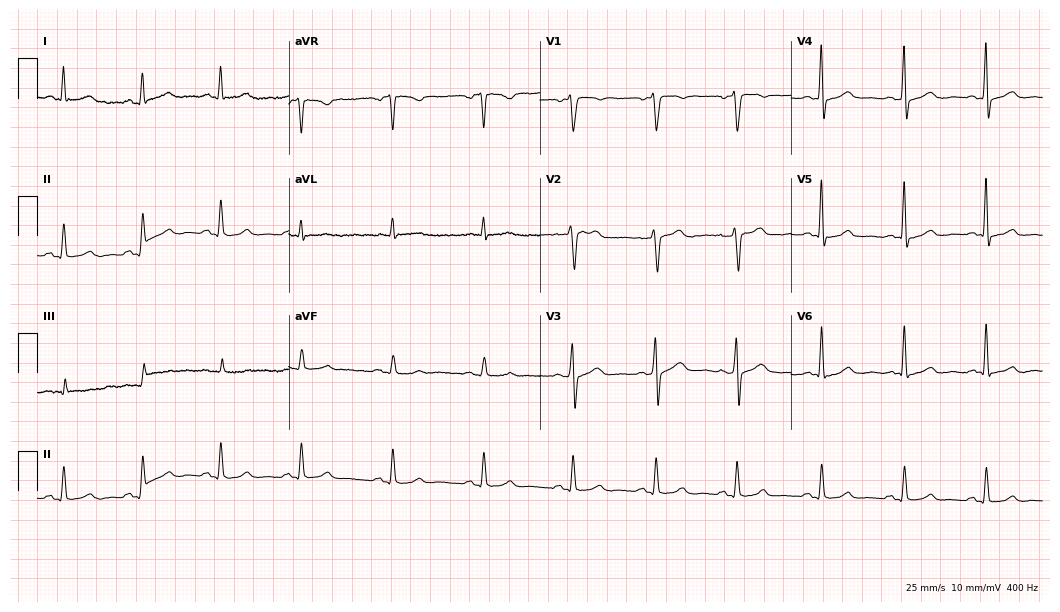
12-lead ECG from a 49-year-old man. Recorded interpretation: within normal limits.